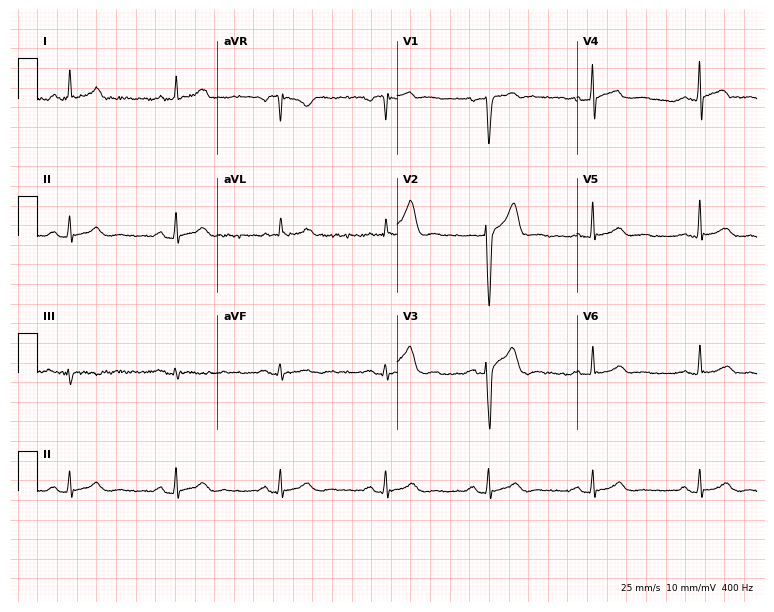
12-lead ECG from a man, 59 years old. No first-degree AV block, right bundle branch block, left bundle branch block, sinus bradycardia, atrial fibrillation or sinus tachycardia recorded for this tracing.